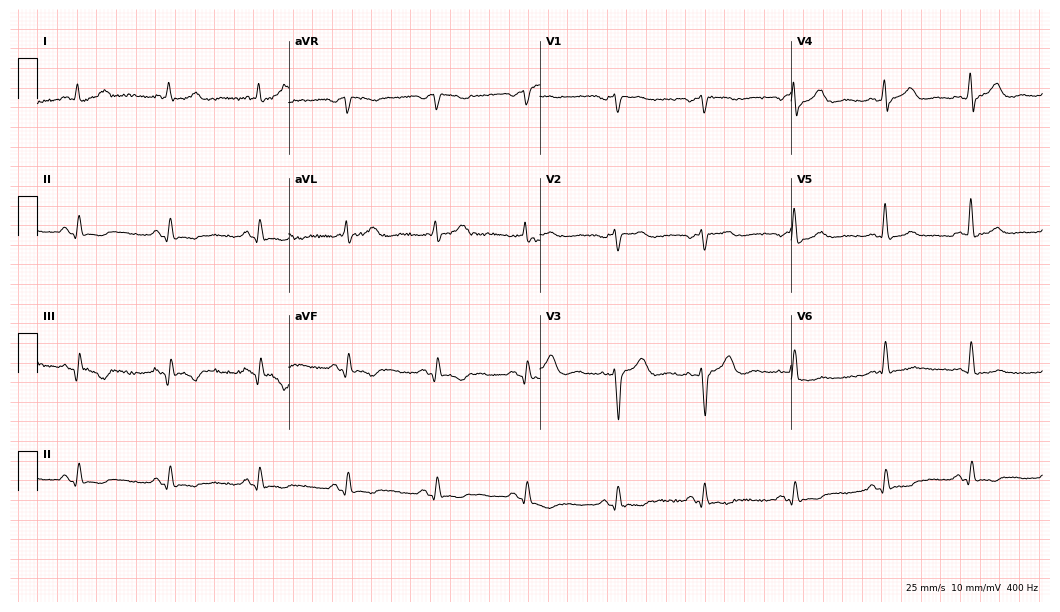
ECG — a male, 67 years old. Screened for six findings — first-degree AV block, right bundle branch block, left bundle branch block, sinus bradycardia, atrial fibrillation, sinus tachycardia — none is recorded. Other findings, if any, are not listed.